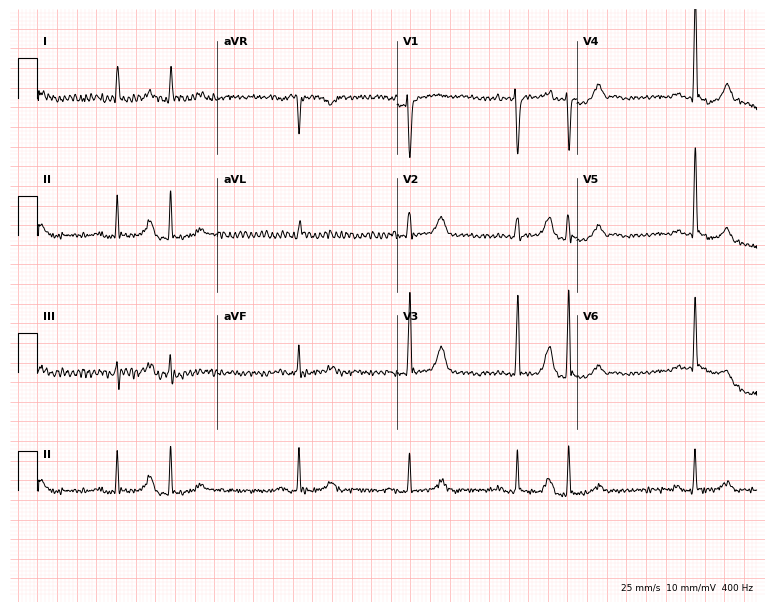
Resting 12-lead electrocardiogram. Patient: a male, 80 years old. None of these six findings is recorded: first-degree AV block, right bundle branch block, left bundle branch block, sinus bradycardia, atrial fibrillation, sinus tachycardia.